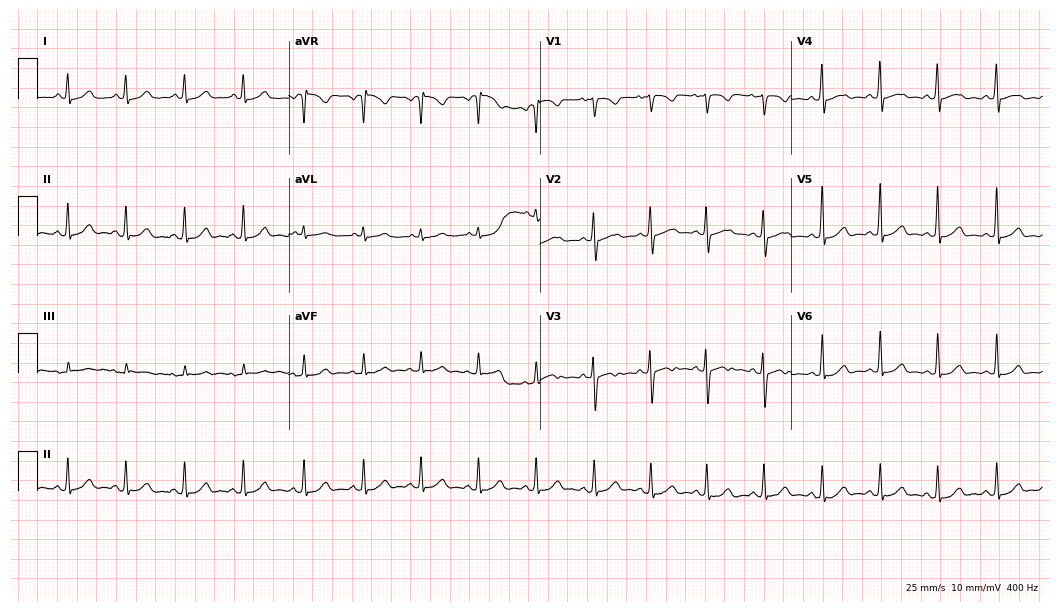
Electrocardiogram, a 22-year-old female. Of the six screened findings (first-degree AV block, right bundle branch block, left bundle branch block, sinus bradycardia, atrial fibrillation, sinus tachycardia), none is recorded.